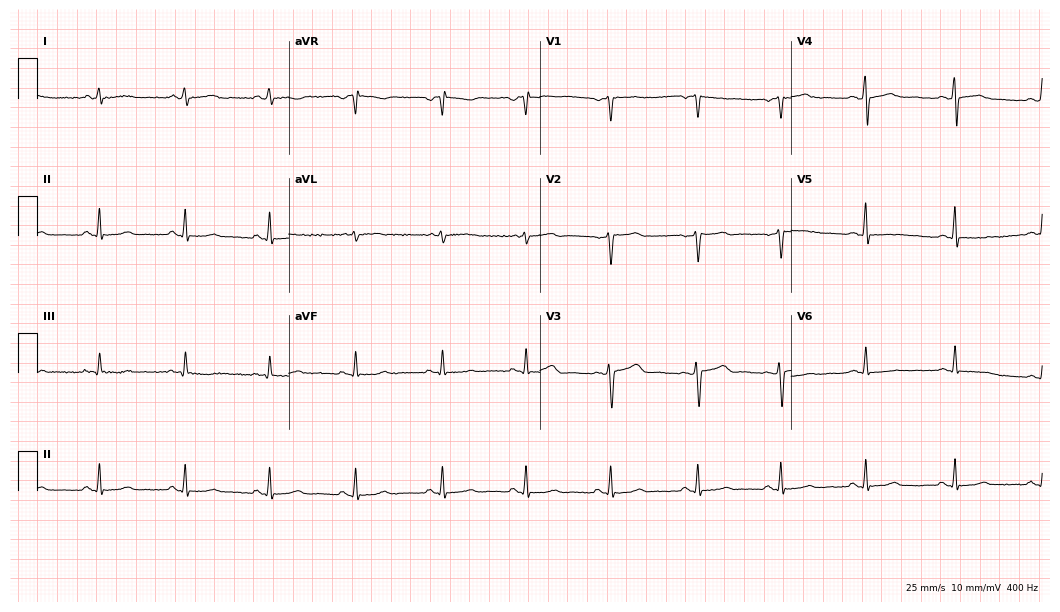
ECG — a female patient, 48 years old. Screened for six findings — first-degree AV block, right bundle branch block, left bundle branch block, sinus bradycardia, atrial fibrillation, sinus tachycardia — none is recorded. Only these six findings were labelled.